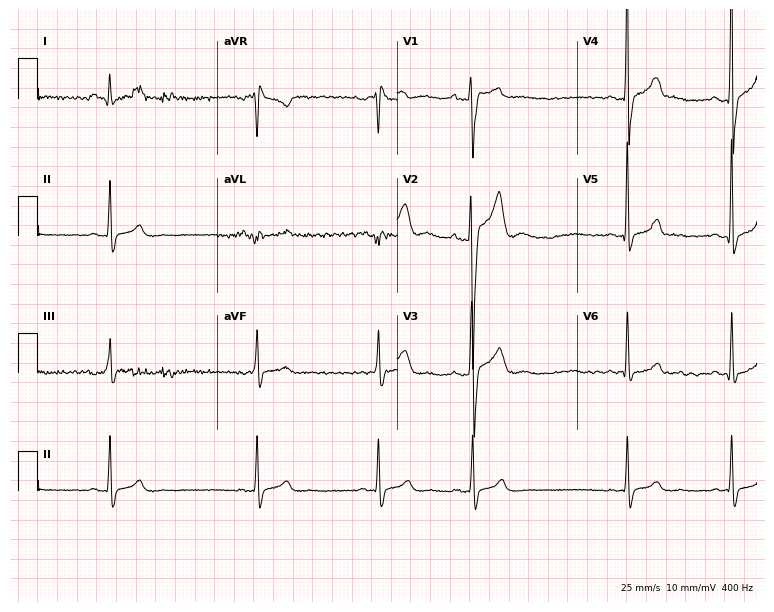
Electrocardiogram (7.3-second recording at 400 Hz), a male, 19 years old. Interpretation includes sinus bradycardia (a sinus rate of 50 beats per minute or less), atrial fibrillation (AF).